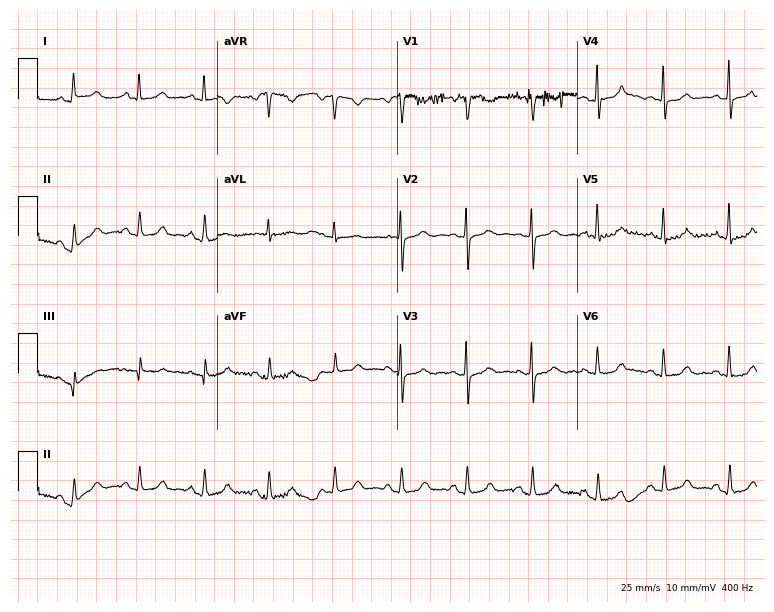
Resting 12-lead electrocardiogram (7.3-second recording at 400 Hz). Patient: a 57-year-old female. Read as a normal ECG.